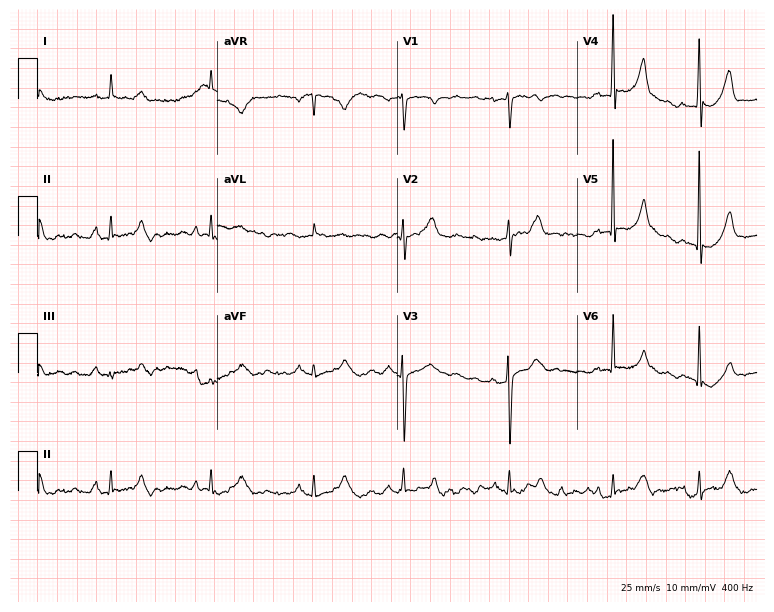
Resting 12-lead electrocardiogram. Patient: a female, 83 years old. None of these six findings is recorded: first-degree AV block, right bundle branch block, left bundle branch block, sinus bradycardia, atrial fibrillation, sinus tachycardia. Only these six findings were labelled.